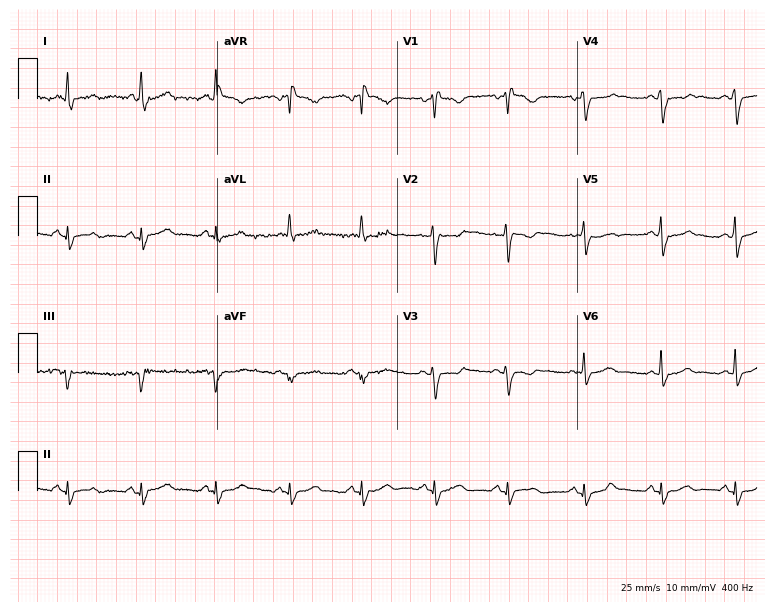
ECG — a 29-year-old female. Screened for six findings — first-degree AV block, right bundle branch block, left bundle branch block, sinus bradycardia, atrial fibrillation, sinus tachycardia — none is recorded.